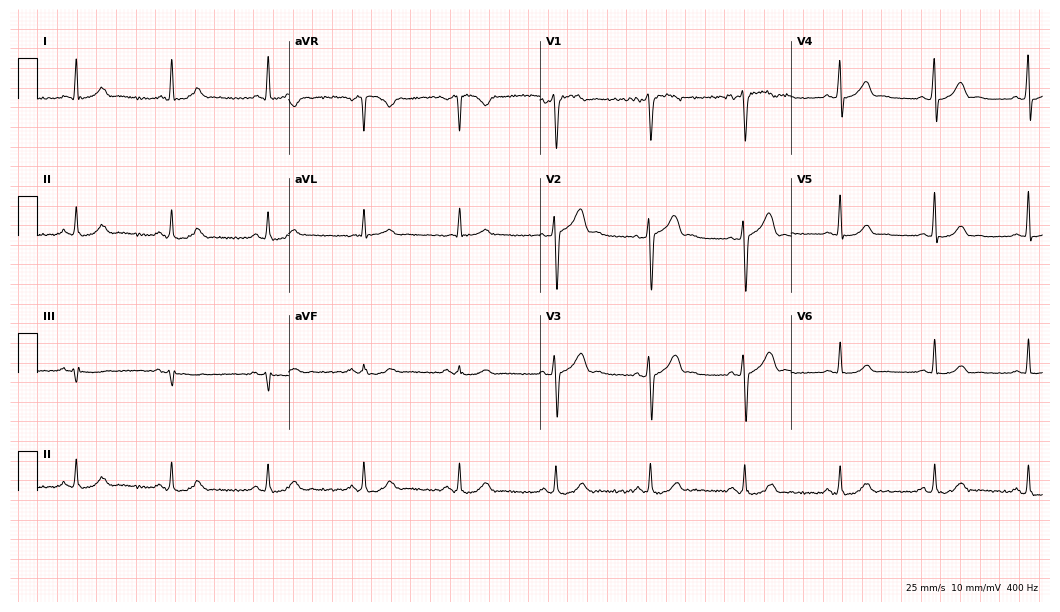
12-lead ECG from a 50-year-old male (10.2-second recording at 400 Hz). Recorded interpretation: within normal limits.